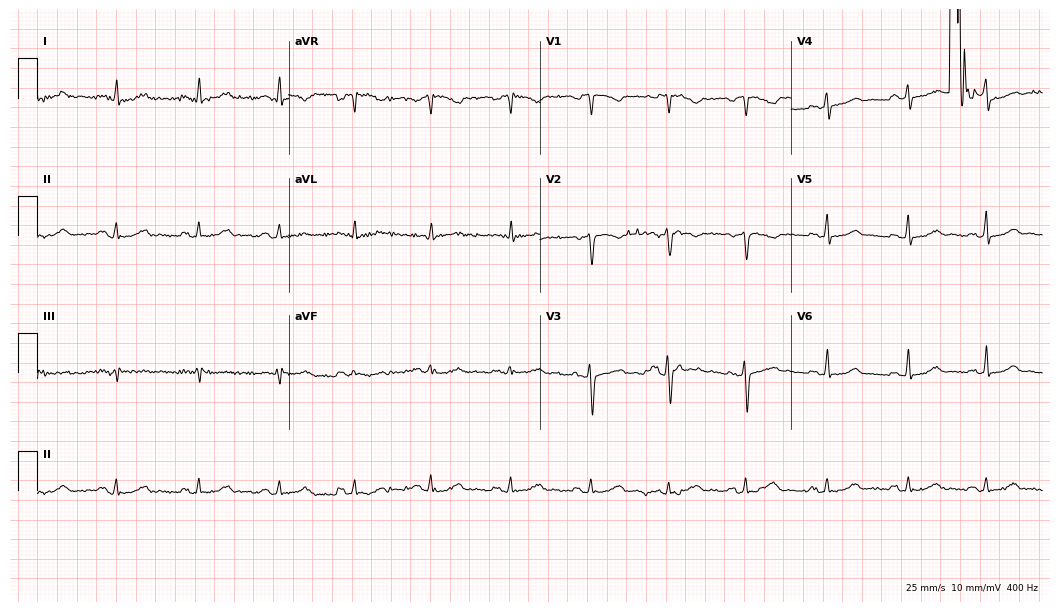
Electrocardiogram, a woman, 38 years old. Of the six screened findings (first-degree AV block, right bundle branch block (RBBB), left bundle branch block (LBBB), sinus bradycardia, atrial fibrillation (AF), sinus tachycardia), none is recorded. Findings outside these six are not listed.